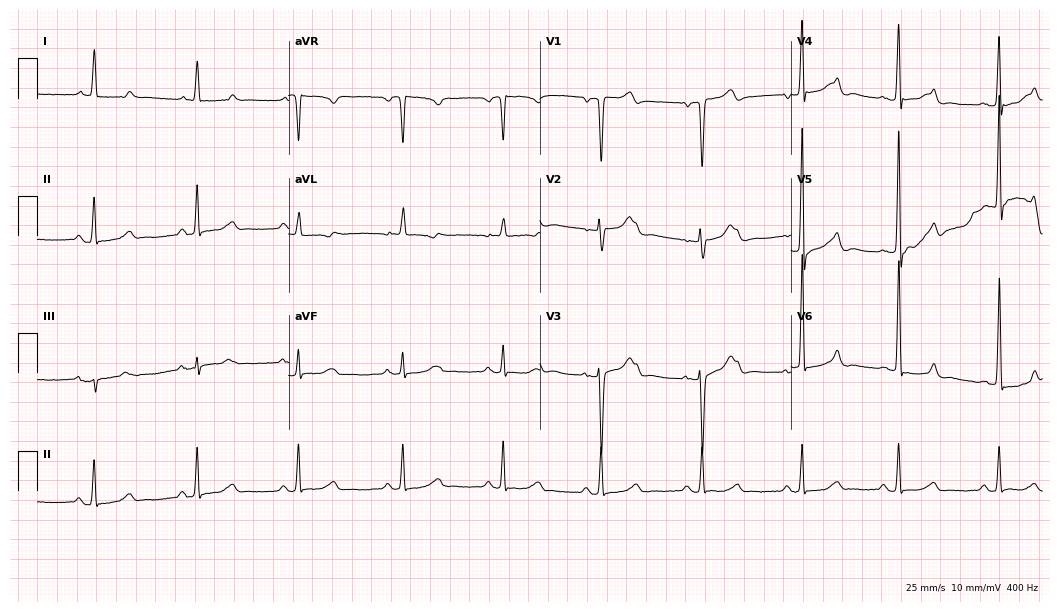
12-lead ECG from a 61-year-old woman. Recorded interpretation: within normal limits.